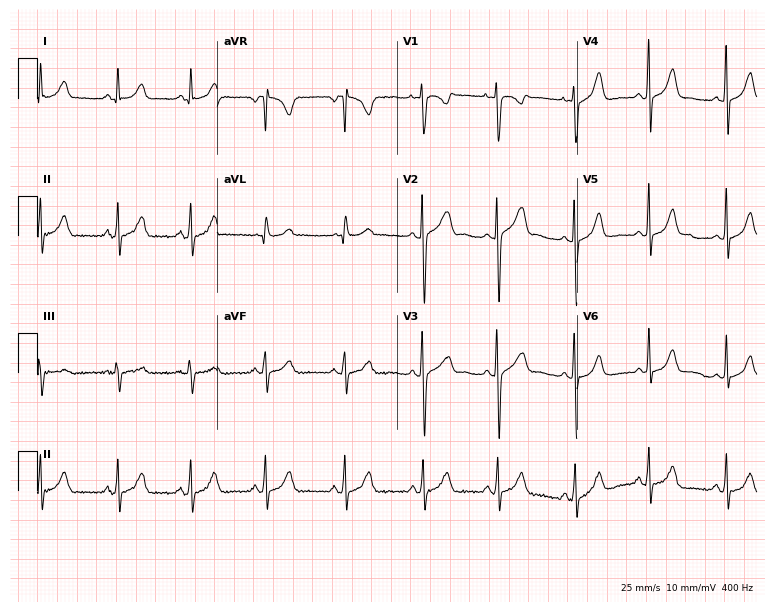
Standard 12-lead ECG recorded from a 20-year-old female patient (7.3-second recording at 400 Hz). Read as a normal ECG.